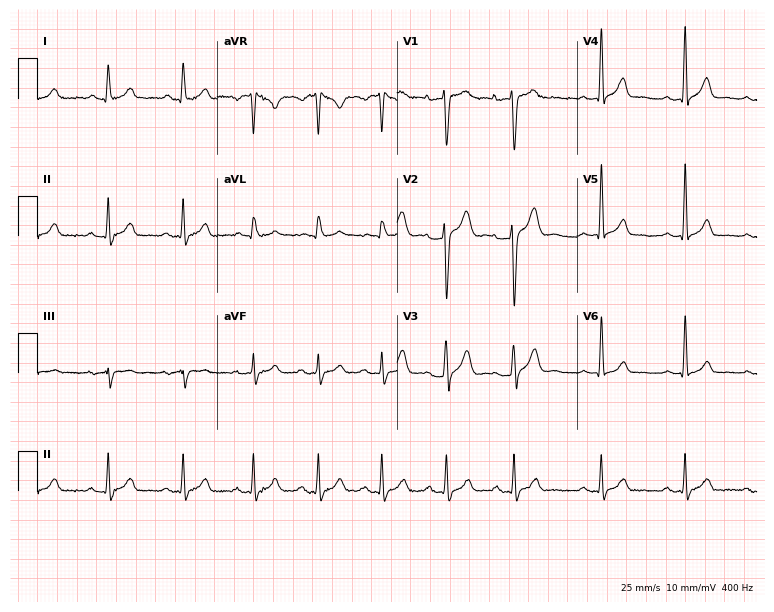
12-lead ECG from a male patient, 32 years old. Recorded interpretation: within normal limits.